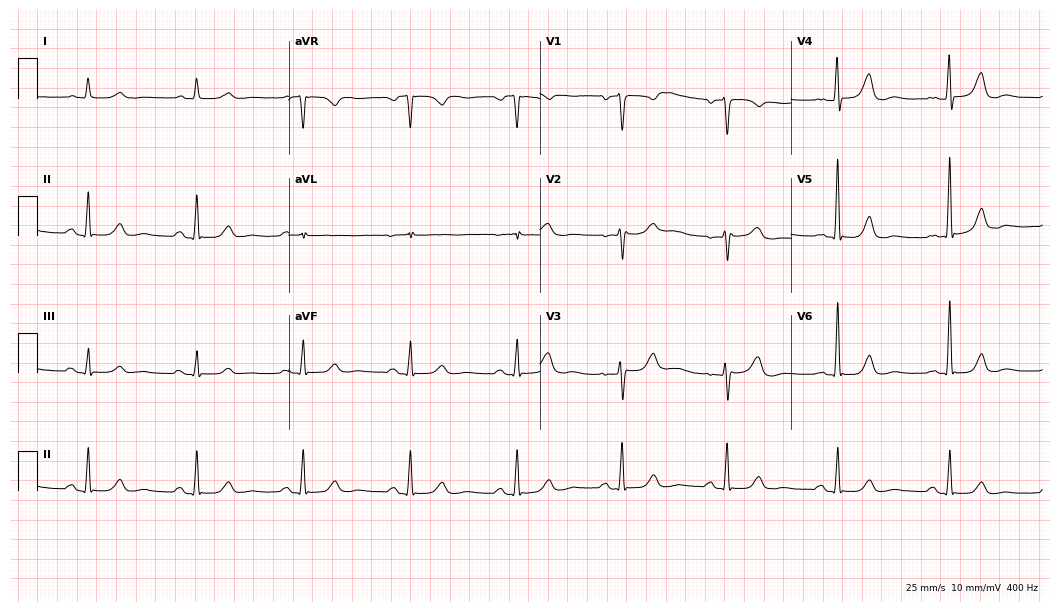
Resting 12-lead electrocardiogram. Patient: a 72-year-old female. Read as a normal ECG.